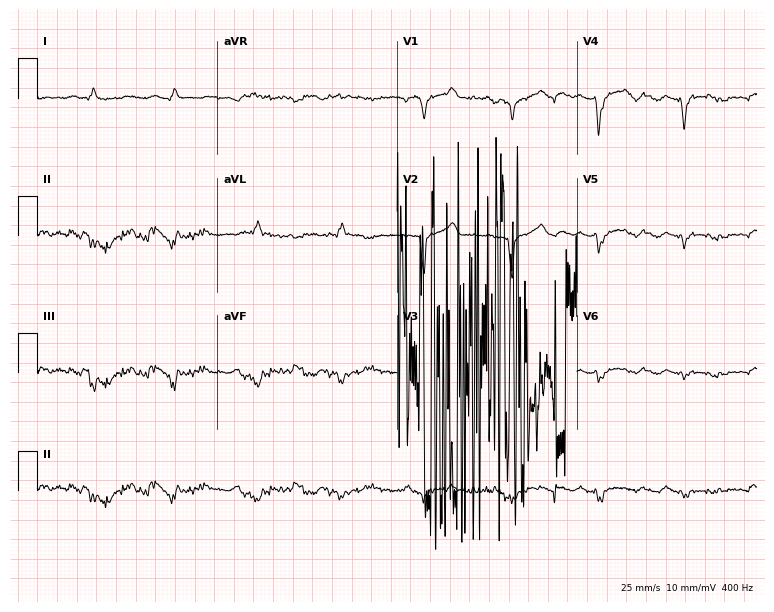
ECG — a 72-year-old woman. Screened for six findings — first-degree AV block, right bundle branch block (RBBB), left bundle branch block (LBBB), sinus bradycardia, atrial fibrillation (AF), sinus tachycardia — none is recorded. Findings outside these six are not listed.